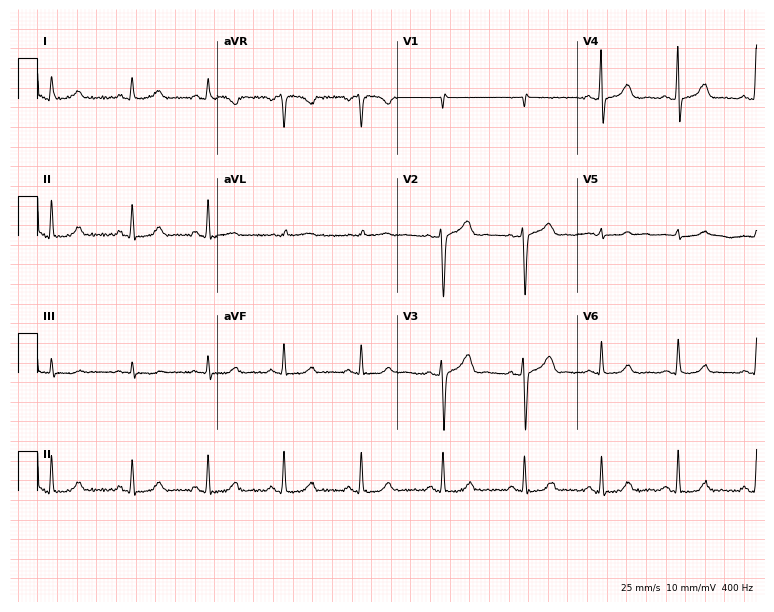
Standard 12-lead ECG recorded from a female patient, 39 years old (7.3-second recording at 400 Hz). Read as a normal ECG.